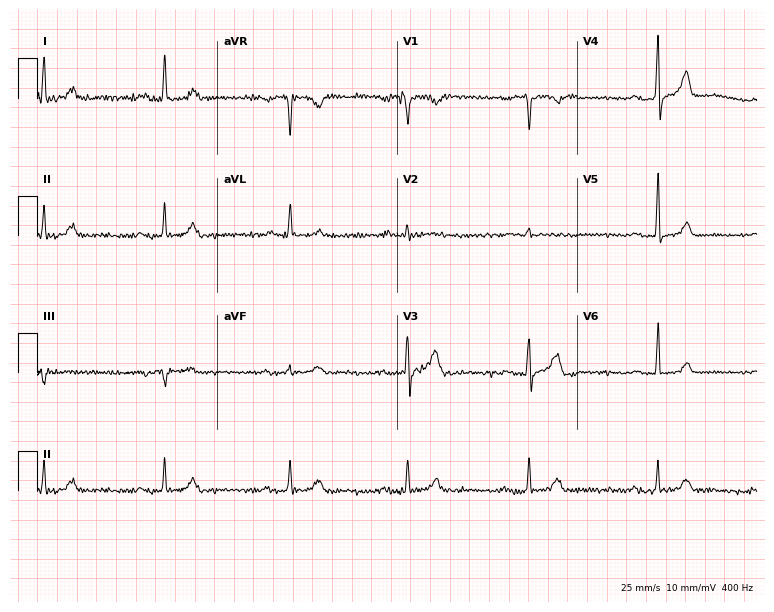
Electrocardiogram (7.3-second recording at 400 Hz), a man, 39 years old. Interpretation includes first-degree AV block, sinus bradycardia (a sinus rate of 50 beats per minute or less).